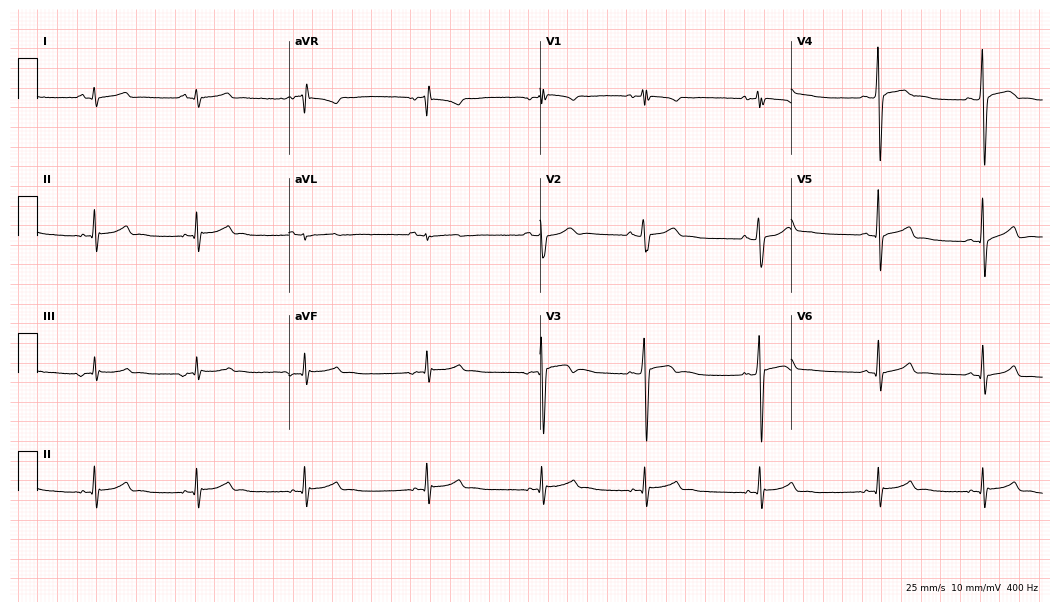
Resting 12-lead electrocardiogram (10.2-second recording at 400 Hz). Patient: a male, 22 years old. None of these six findings is recorded: first-degree AV block, right bundle branch block, left bundle branch block, sinus bradycardia, atrial fibrillation, sinus tachycardia. Only these six findings were labelled.